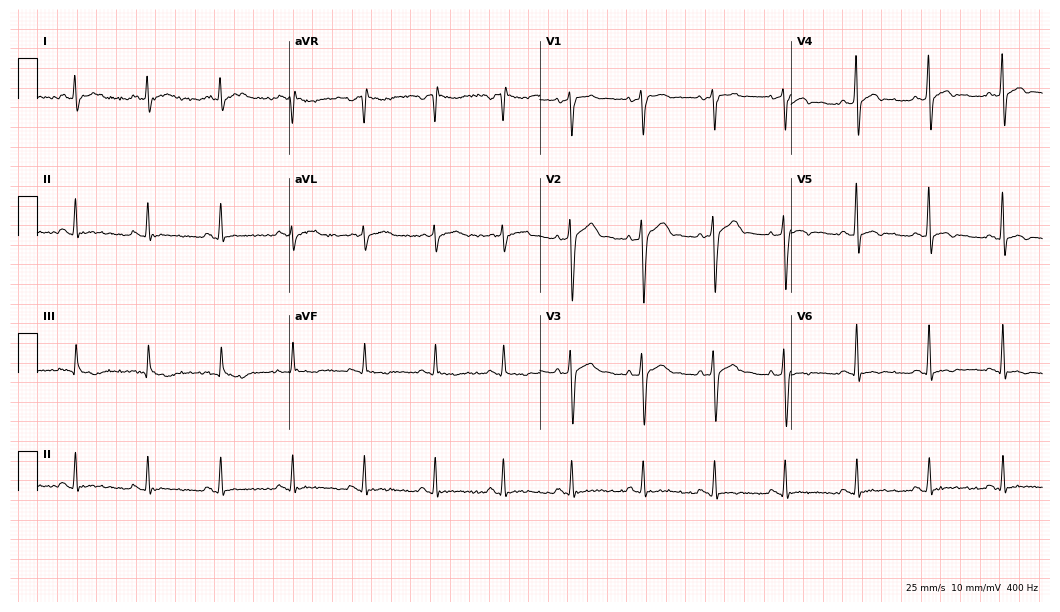
12-lead ECG from a 30-year-old male. No first-degree AV block, right bundle branch block, left bundle branch block, sinus bradycardia, atrial fibrillation or sinus tachycardia recorded for this tracing.